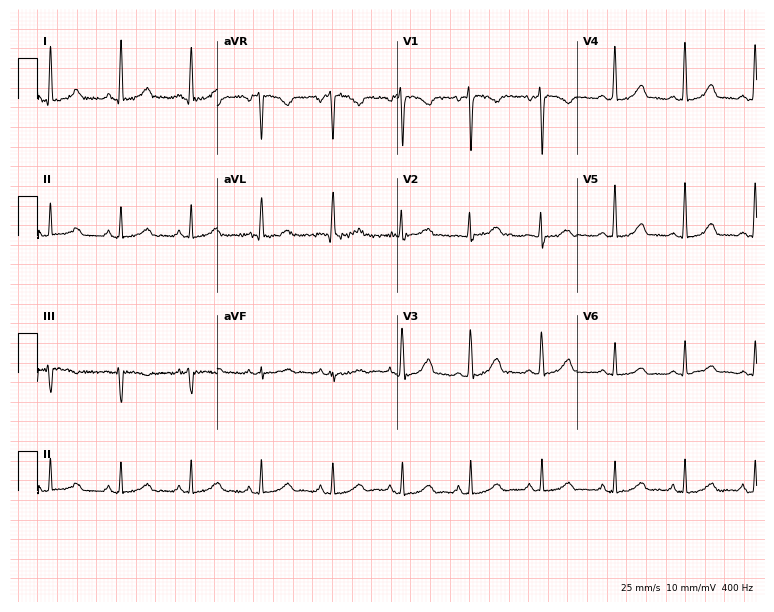
ECG — a 30-year-old female patient. Screened for six findings — first-degree AV block, right bundle branch block, left bundle branch block, sinus bradycardia, atrial fibrillation, sinus tachycardia — none is recorded. Other findings, if any, are not listed.